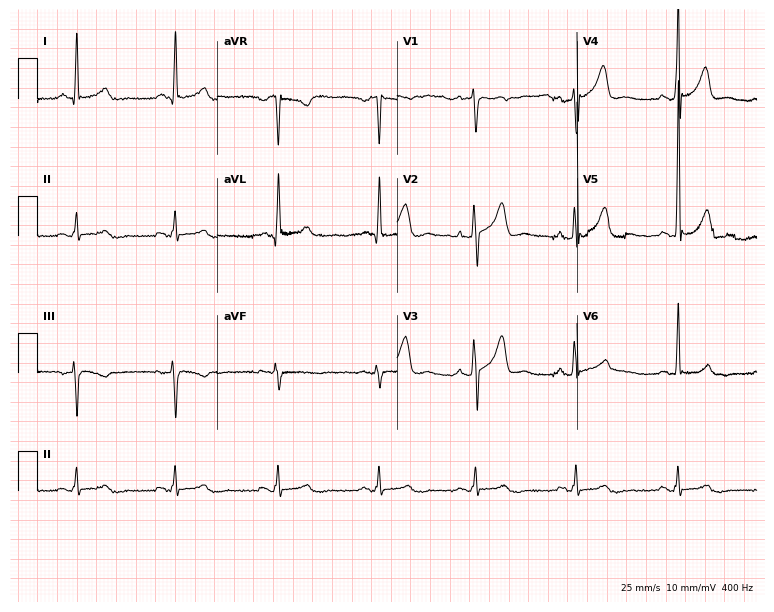
12-lead ECG from a 52-year-old male patient. Recorded interpretation: within normal limits.